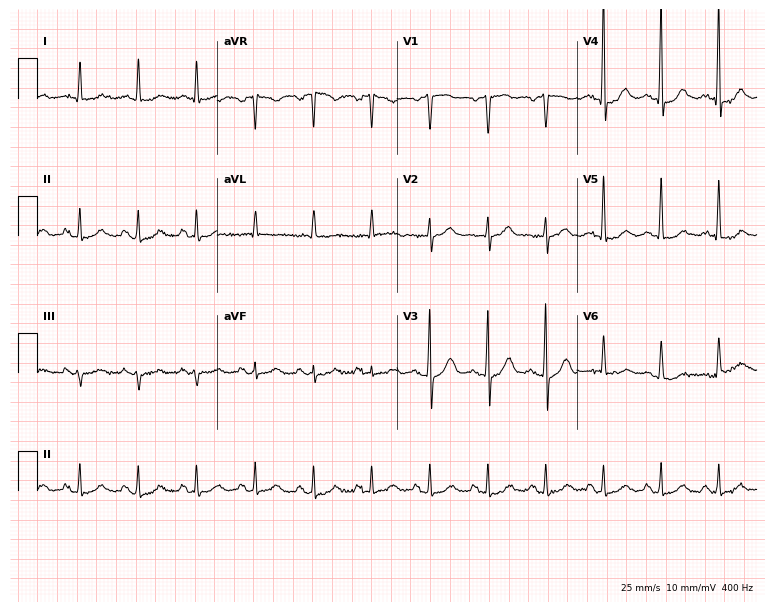
ECG — a male, 79 years old. Screened for six findings — first-degree AV block, right bundle branch block, left bundle branch block, sinus bradycardia, atrial fibrillation, sinus tachycardia — none is recorded.